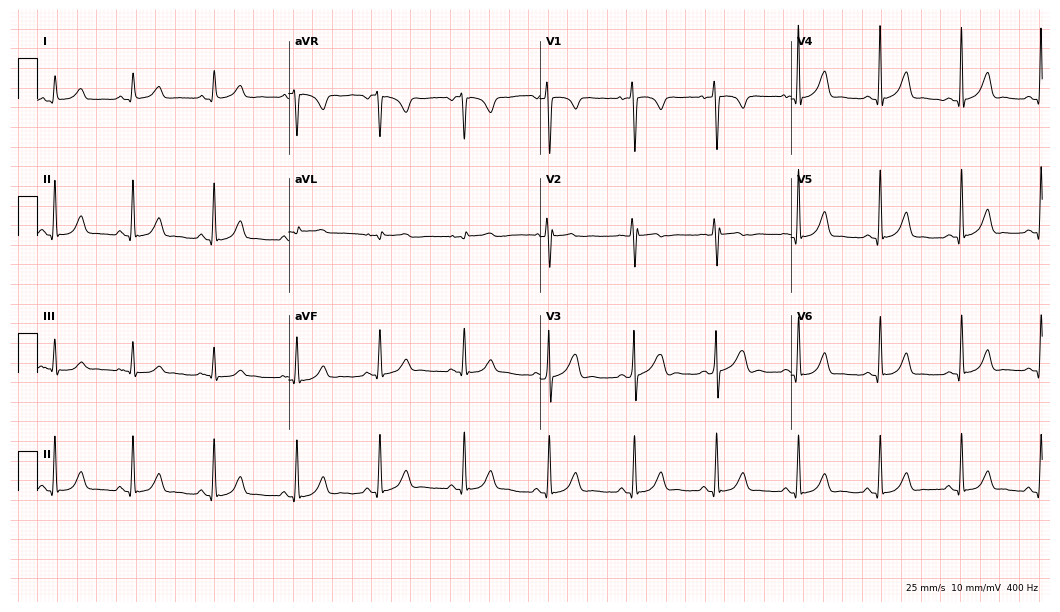
Electrocardiogram (10.2-second recording at 400 Hz), a 74-year-old male patient. Overall reading on record: normal ECG.